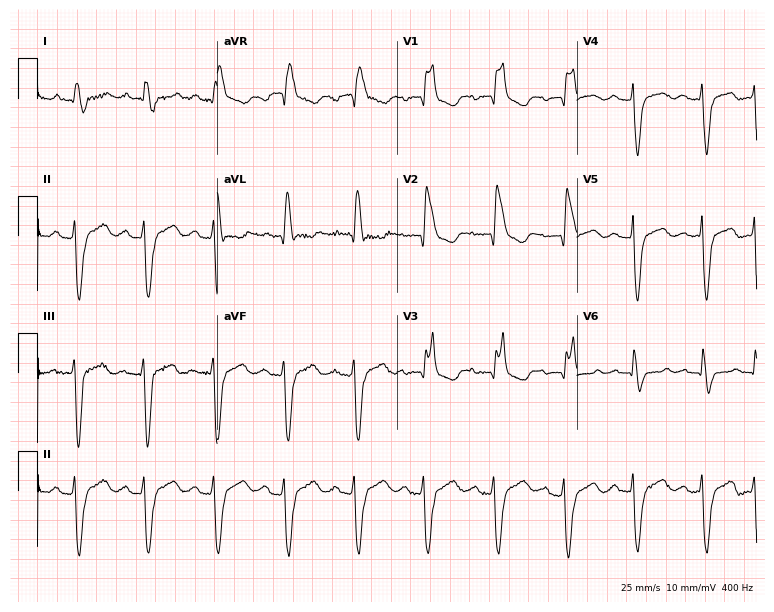
Electrocardiogram, a 76-year-old woman. Interpretation includes first-degree AV block, right bundle branch block.